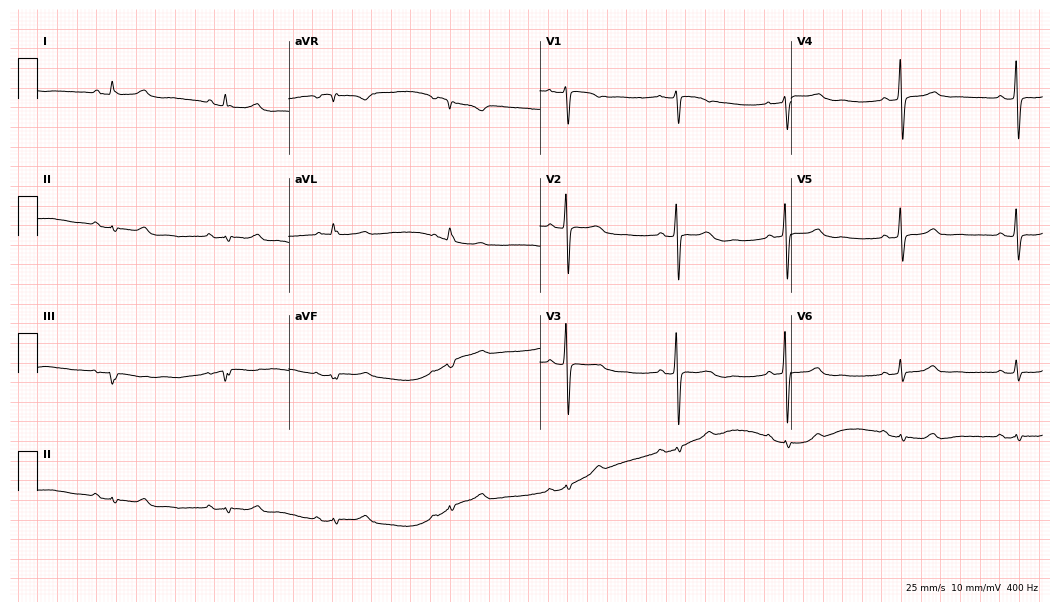
Resting 12-lead electrocardiogram. Patient: a 64-year-old female. None of these six findings is recorded: first-degree AV block, right bundle branch block, left bundle branch block, sinus bradycardia, atrial fibrillation, sinus tachycardia. Findings outside these six are not listed.